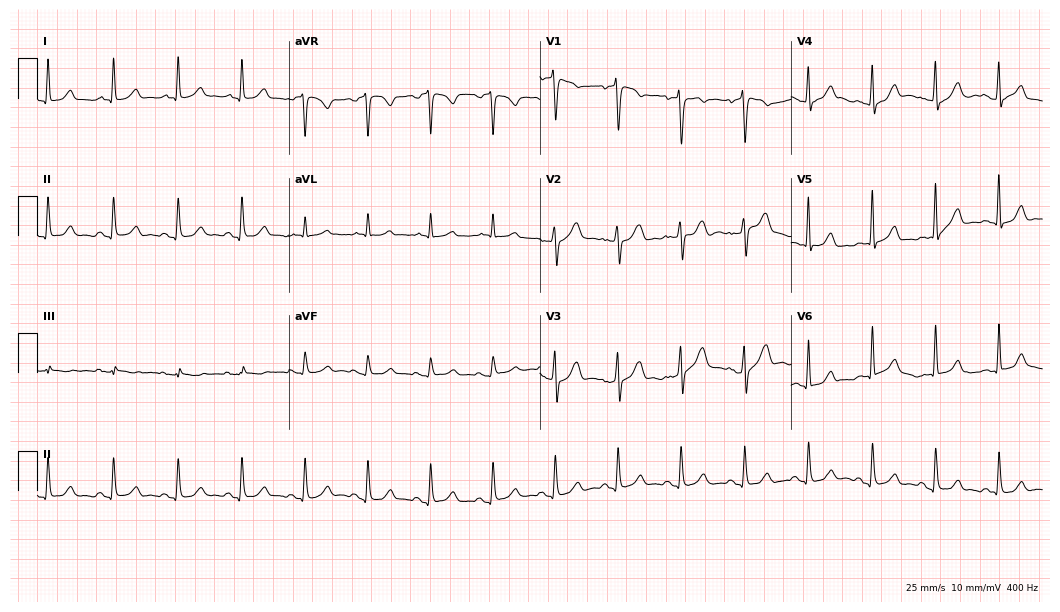
ECG — a 56-year-old female patient. Labelled as a normal ECG.